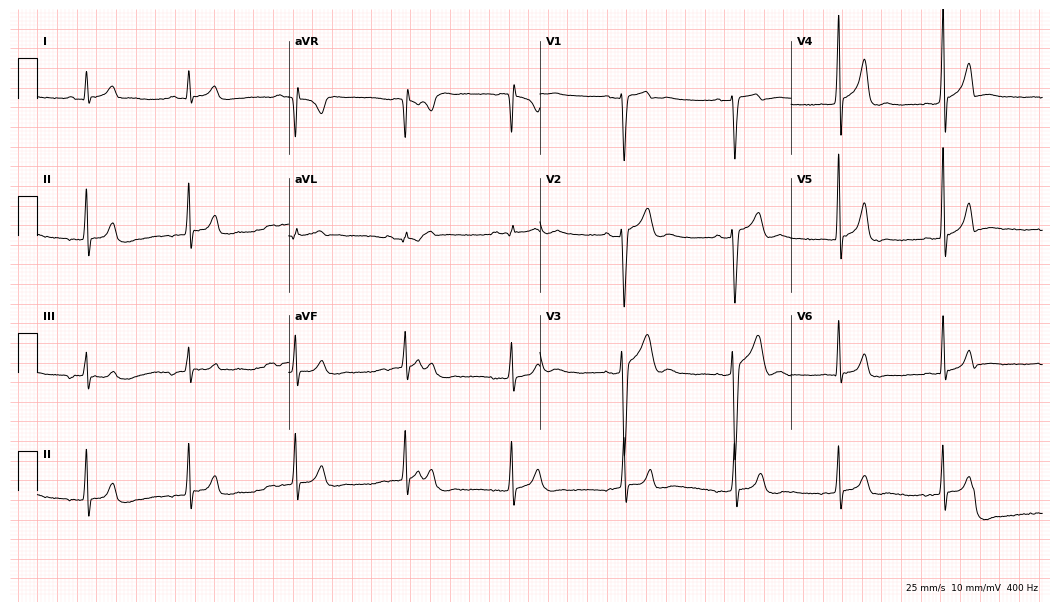
12-lead ECG from a 23-year-old male (10.2-second recording at 400 Hz). Recorded interpretation: within normal limits.